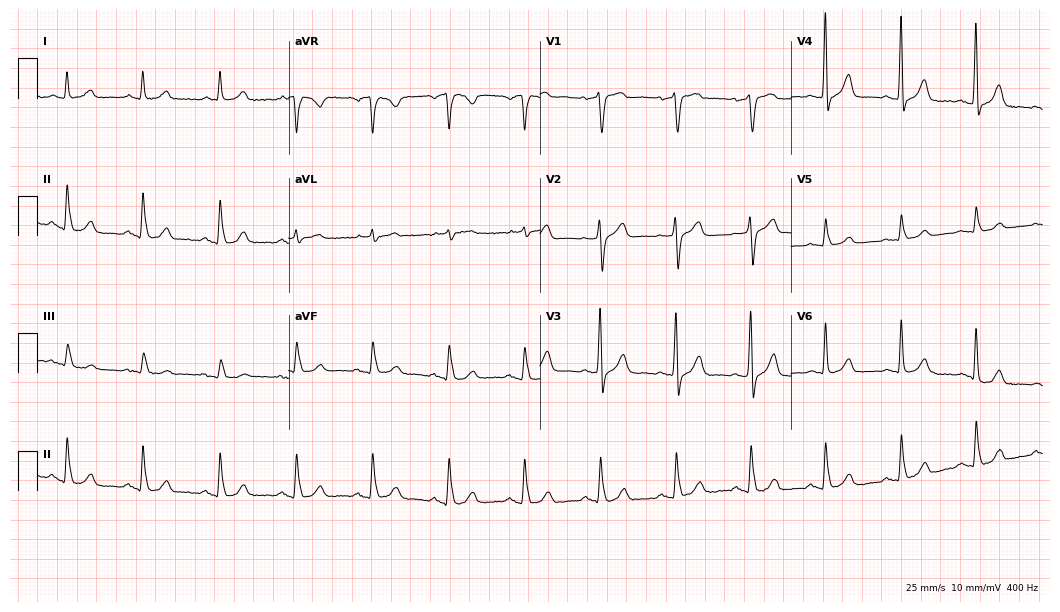
ECG (10.2-second recording at 400 Hz) — a 78-year-old man. Screened for six findings — first-degree AV block, right bundle branch block (RBBB), left bundle branch block (LBBB), sinus bradycardia, atrial fibrillation (AF), sinus tachycardia — none is recorded.